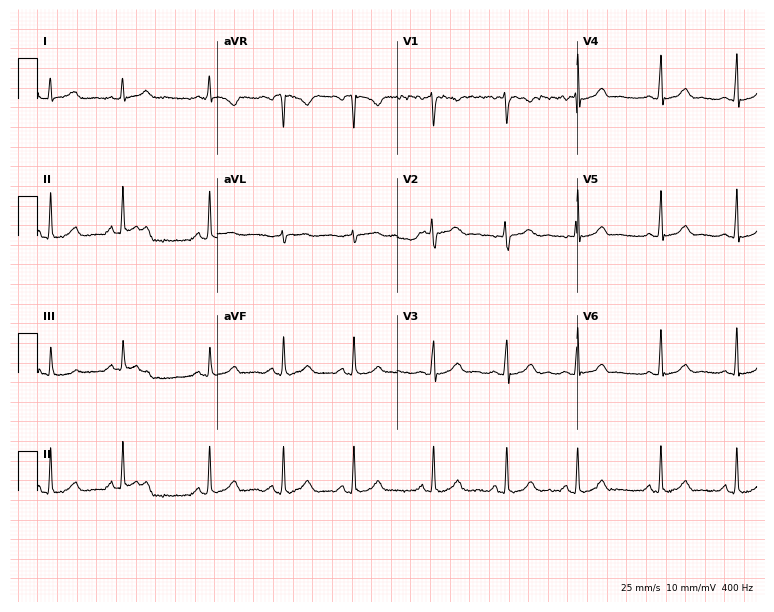
Standard 12-lead ECG recorded from a woman, 25 years old (7.3-second recording at 400 Hz). Read as a normal ECG.